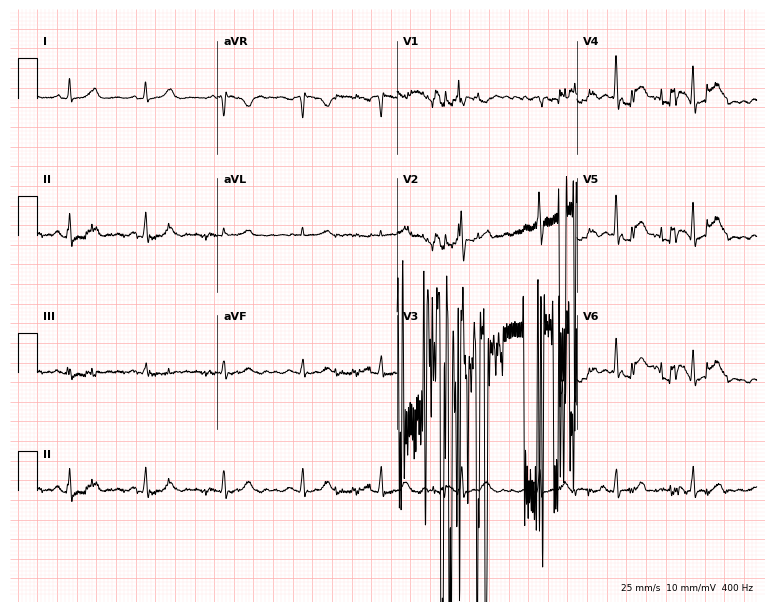
Resting 12-lead electrocardiogram (7.3-second recording at 400 Hz). Patient: a 38-year-old female. None of these six findings is recorded: first-degree AV block, right bundle branch block, left bundle branch block, sinus bradycardia, atrial fibrillation, sinus tachycardia. Only these six findings were labelled.